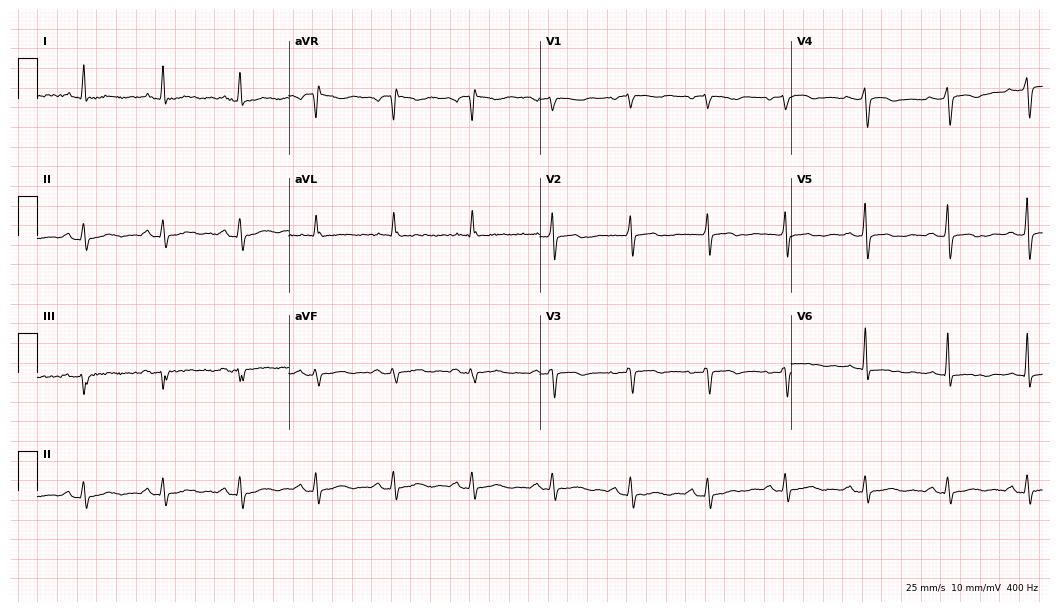
Resting 12-lead electrocardiogram. Patient: a woman, 85 years old. None of these six findings is recorded: first-degree AV block, right bundle branch block, left bundle branch block, sinus bradycardia, atrial fibrillation, sinus tachycardia. Only these six findings were labelled.